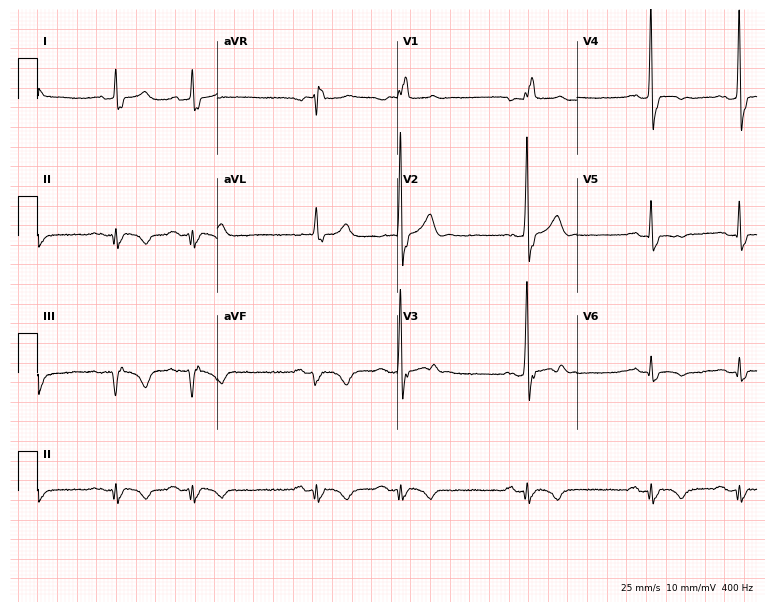
Standard 12-lead ECG recorded from a male patient, 84 years old. The tracing shows right bundle branch block (RBBB).